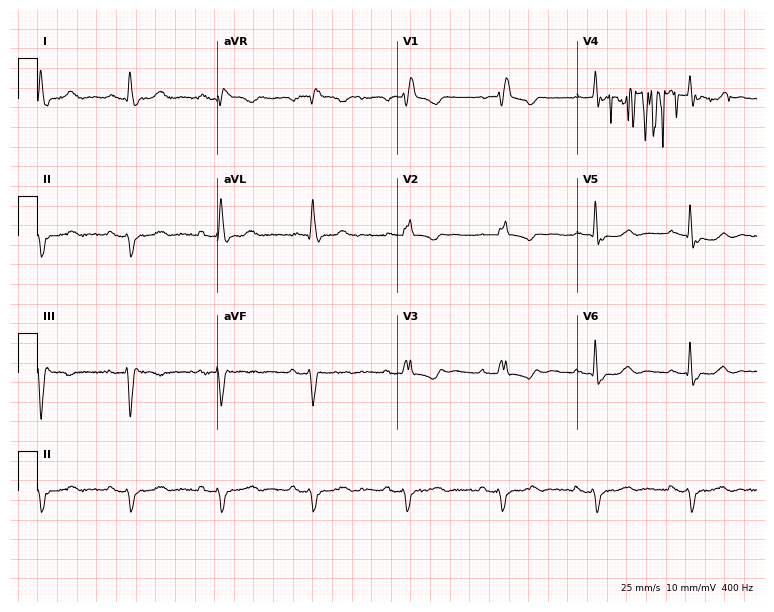
ECG — a 73-year-old man. Findings include right bundle branch block (RBBB).